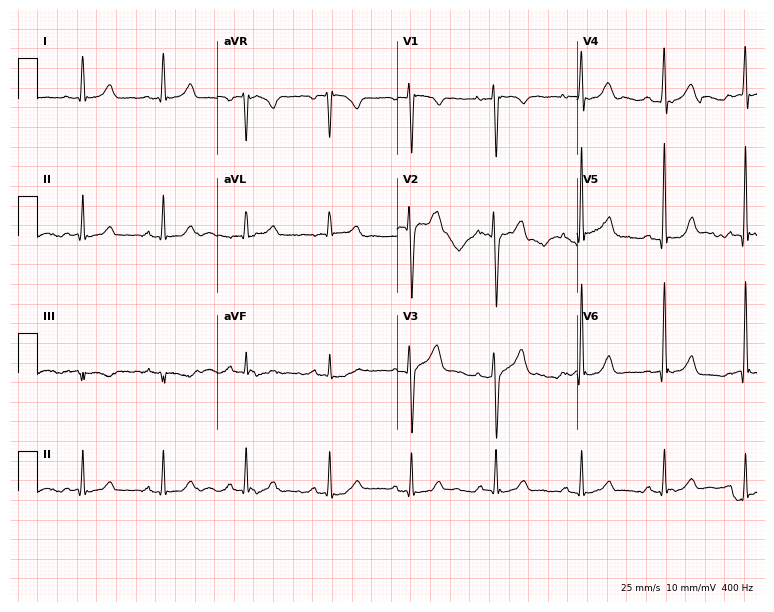
Standard 12-lead ECG recorded from a man, 41 years old (7.3-second recording at 400 Hz). Read as a normal ECG.